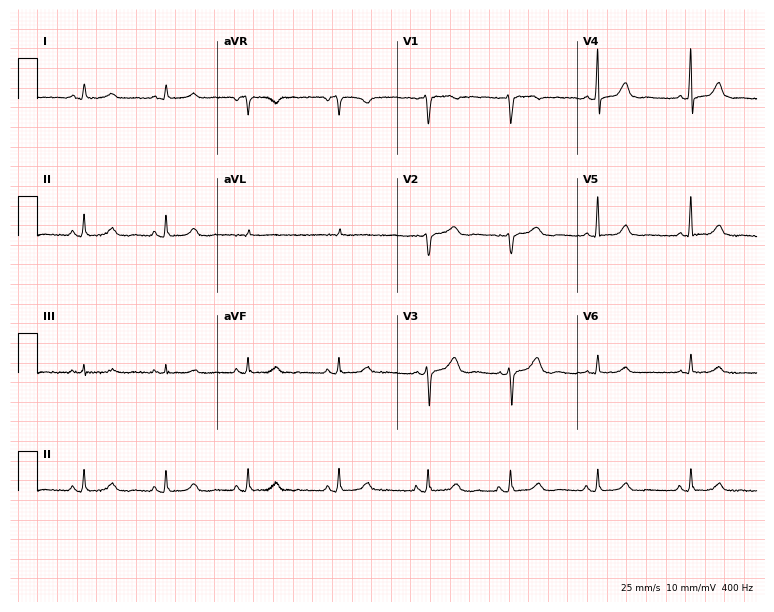
Standard 12-lead ECG recorded from a female, 53 years old. None of these six findings is recorded: first-degree AV block, right bundle branch block, left bundle branch block, sinus bradycardia, atrial fibrillation, sinus tachycardia. Only these six findings were labelled.